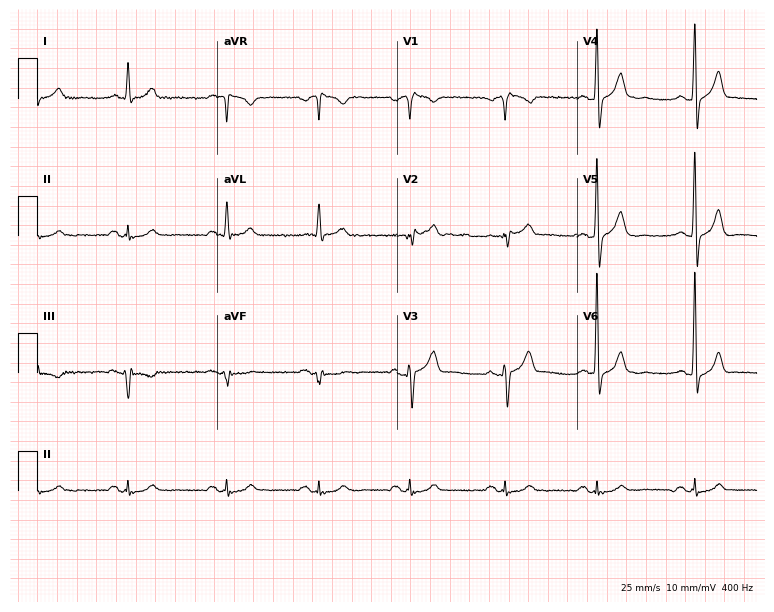
Standard 12-lead ECG recorded from a male patient, 61 years old. None of these six findings is recorded: first-degree AV block, right bundle branch block, left bundle branch block, sinus bradycardia, atrial fibrillation, sinus tachycardia. Findings outside these six are not listed.